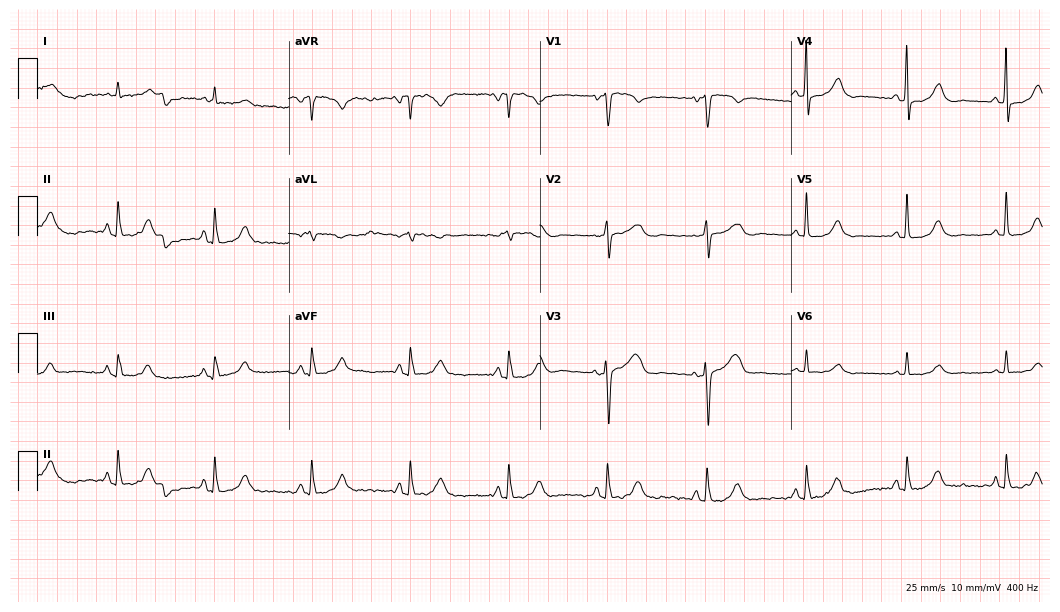
12-lead ECG (10.2-second recording at 400 Hz) from a 63-year-old female patient. Labelled as a normal ECG.